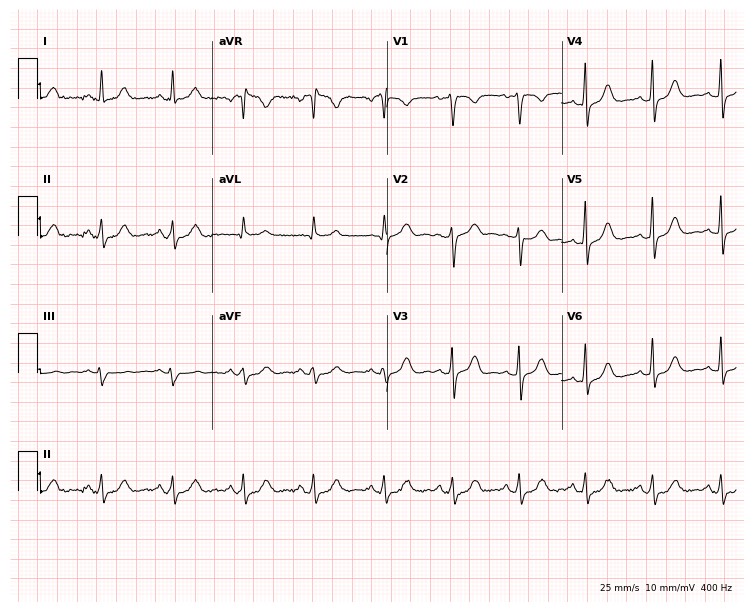
12-lead ECG (7.1-second recording at 400 Hz) from a woman, 47 years old. Screened for six findings — first-degree AV block, right bundle branch block, left bundle branch block, sinus bradycardia, atrial fibrillation, sinus tachycardia — none is recorded.